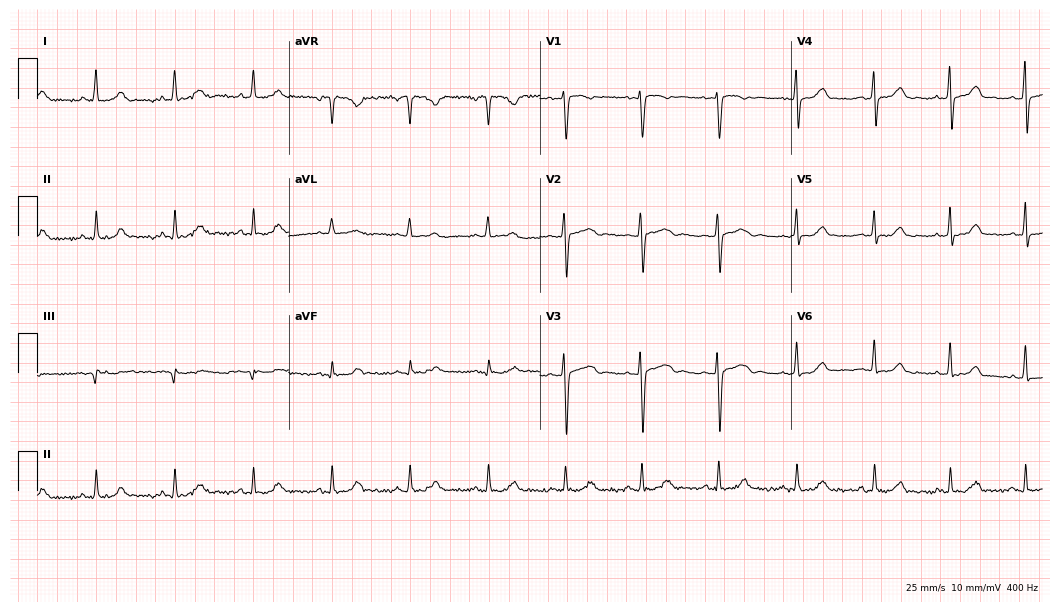
Electrocardiogram, a 34-year-old female. Overall reading on record: normal ECG.